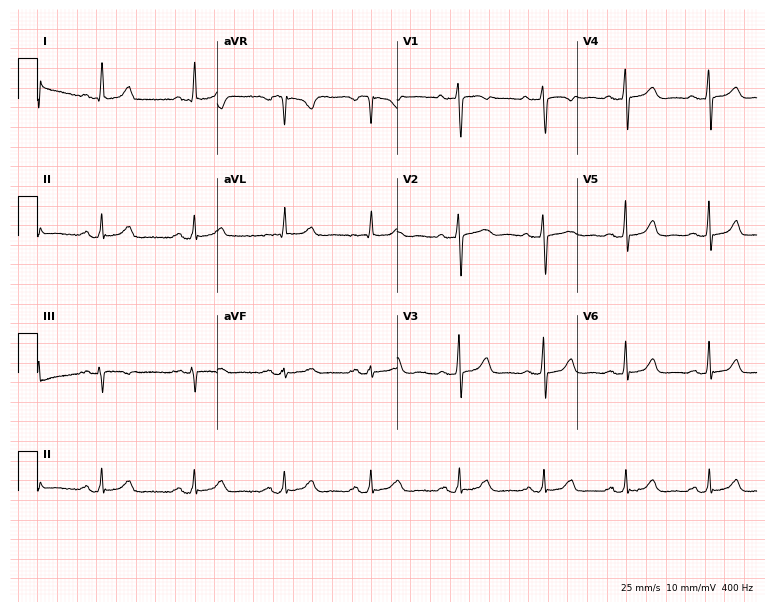
12-lead ECG from a 60-year-old female patient. Recorded interpretation: within normal limits.